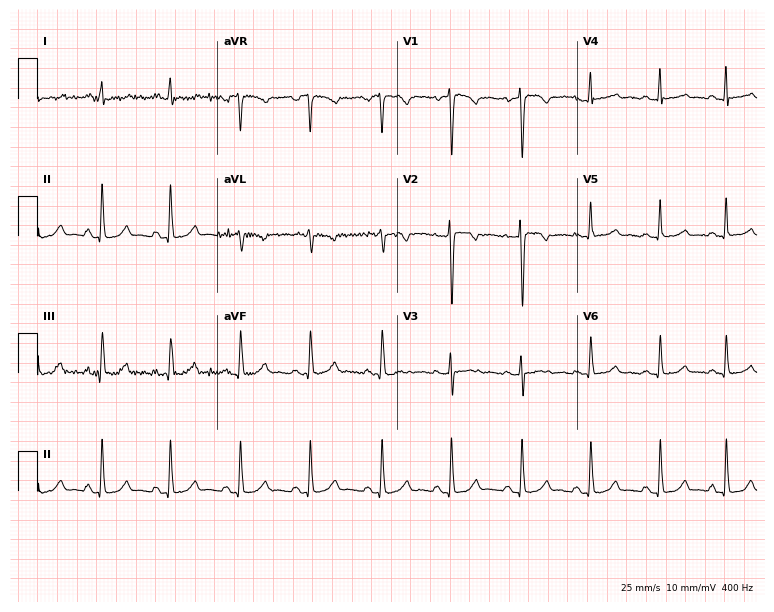
12-lead ECG from a female patient, 26 years old. Recorded interpretation: within normal limits.